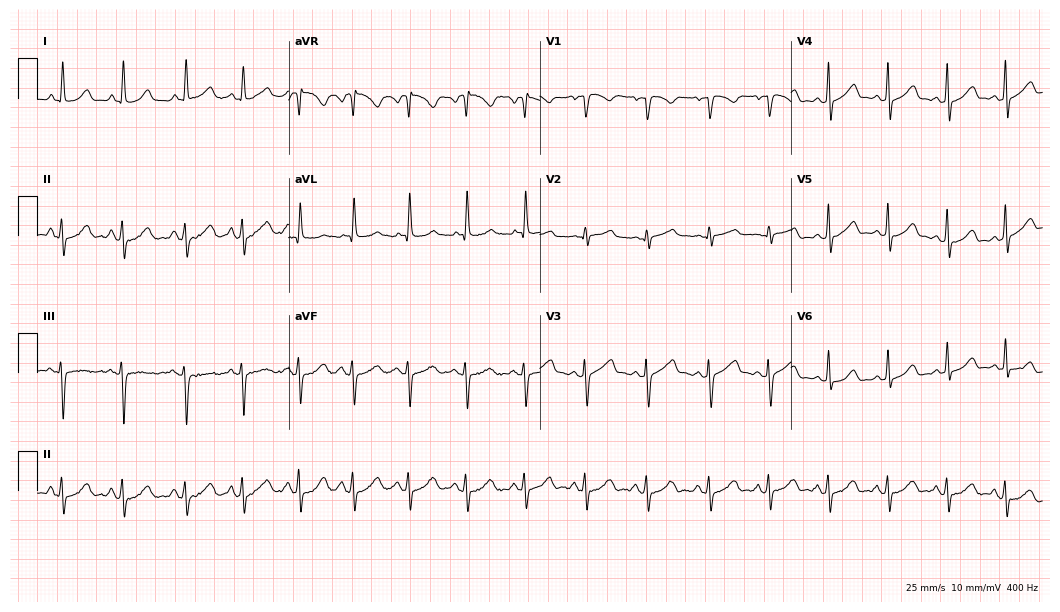
ECG (10.2-second recording at 400 Hz) — a 45-year-old female patient. Screened for six findings — first-degree AV block, right bundle branch block, left bundle branch block, sinus bradycardia, atrial fibrillation, sinus tachycardia — none is recorded.